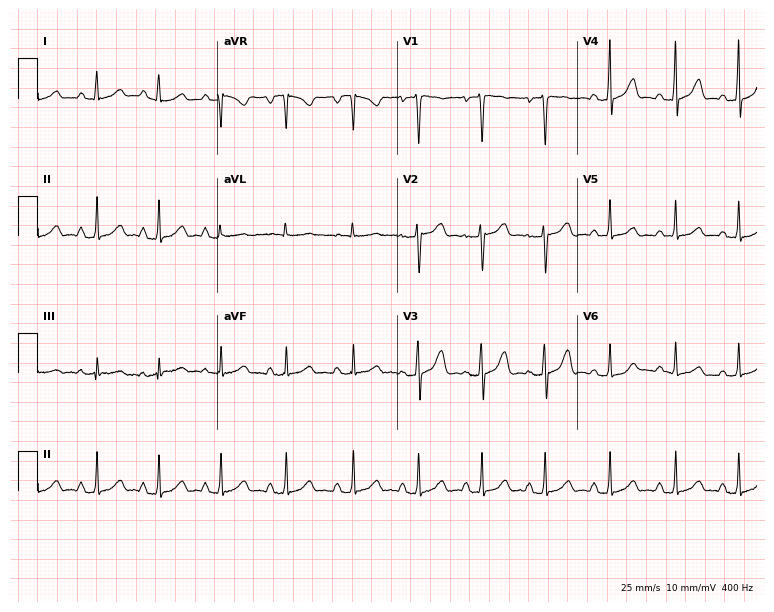
Standard 12-lead ECG recorded from a 40-year-old female (7.3-second recording at 400 Hz). None of these six findings is recorded: first-degree AV block, right bundle branch block, left bundle branch block, sinus bradycardia, atrial fibrillation, sinus tachycardia. Findings outside these six are not listed.